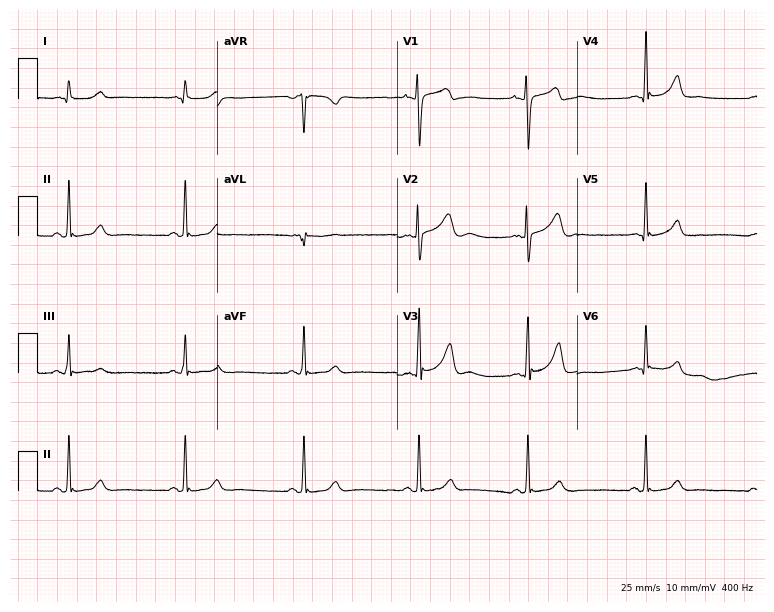
12-lead ECG from a man, 29 years old. No first-degree AV block, right bundle branch block, left bundle branch block, sinus bradycardia, atrial fibrillation or sinus tachycardia recorded for this tracing.